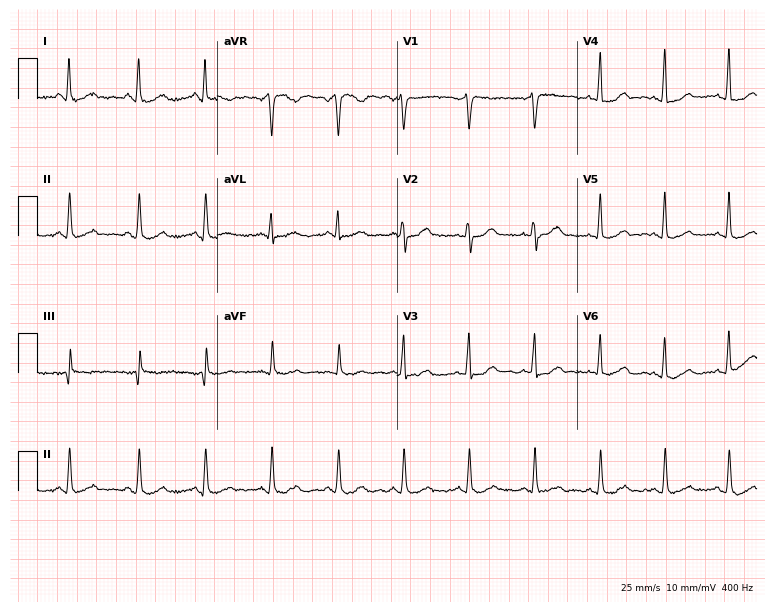
ECG — a 49-year-old female. Labelled as a normal ECG.